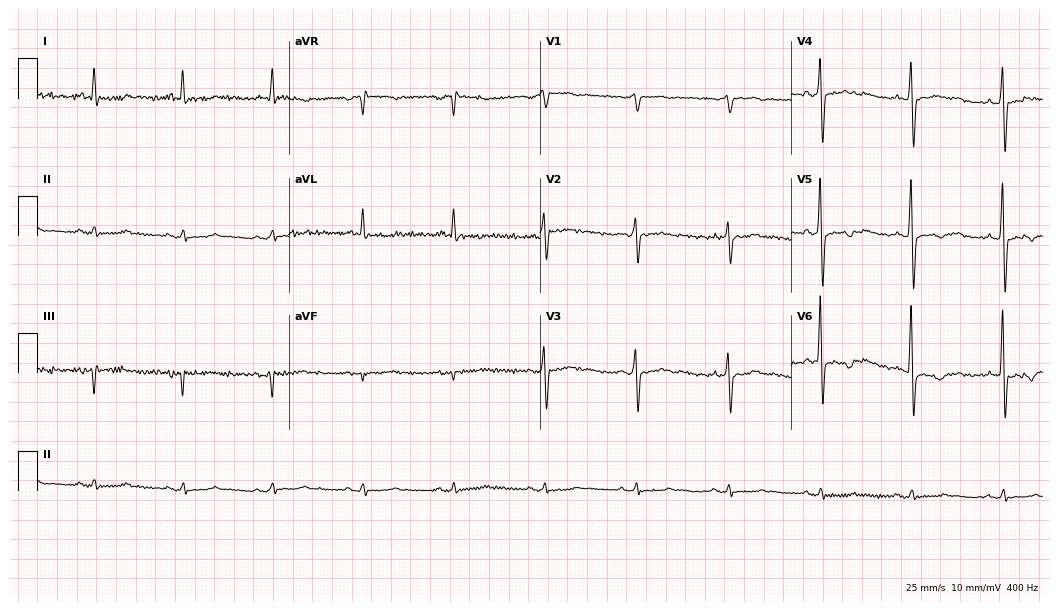
ECG — a 79-year-old man. Screened for six findings — first-degree AV block, right bundle branch block, left bundle branch block, sinus bradycardia, atrial fibrillation, sinus tachycardia — none is recorded. Only these six findings were labelled.